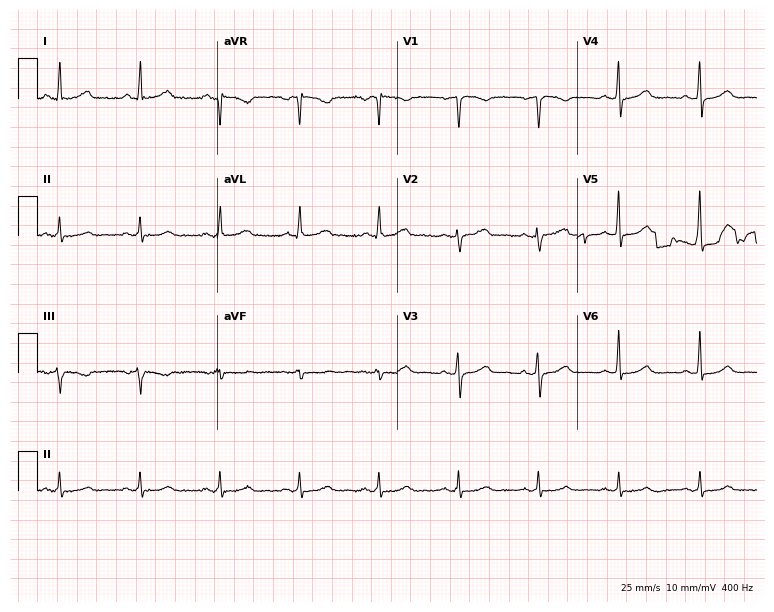
12-lead ECG from a woman, 63 years old. Recorded interpretation: within normal limits.